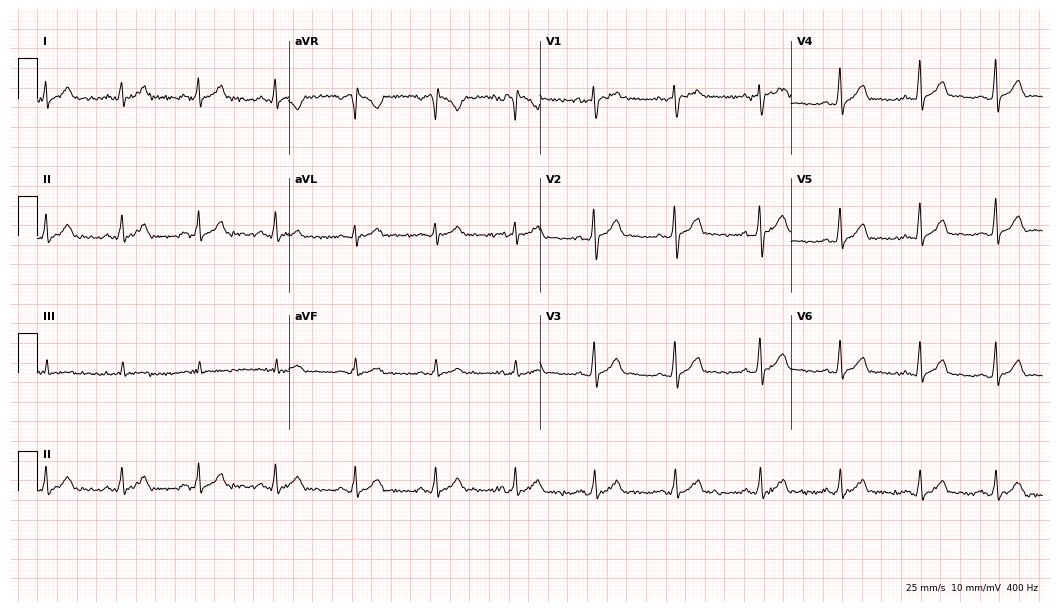
Standard 12-lead ECG recorded from a male, 27 years old (10.2-second recording at 400 Hz). None of these six findings is recorded: first-degree AV block, right bundle branch block (RBBB), left bundle branch block (LBBB), sinus bradycardia, atrial fibrillation (AF), sinus tachycardia.